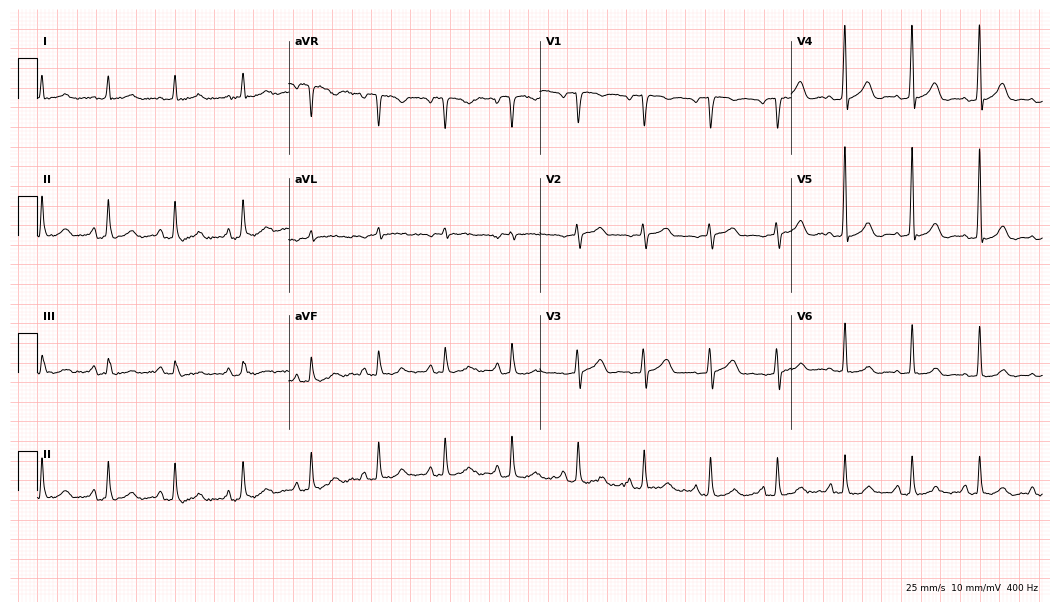
ECG (10.2-second recording at 400 Hz) — a man, 62 years old. Screened for six findings — first-degree AV block, right bundle branch block, left bundle branch block, sinus bradycardia, atrial fibrillation, sinus tachycardia — none is recorded. Findings outside these six are not listed.